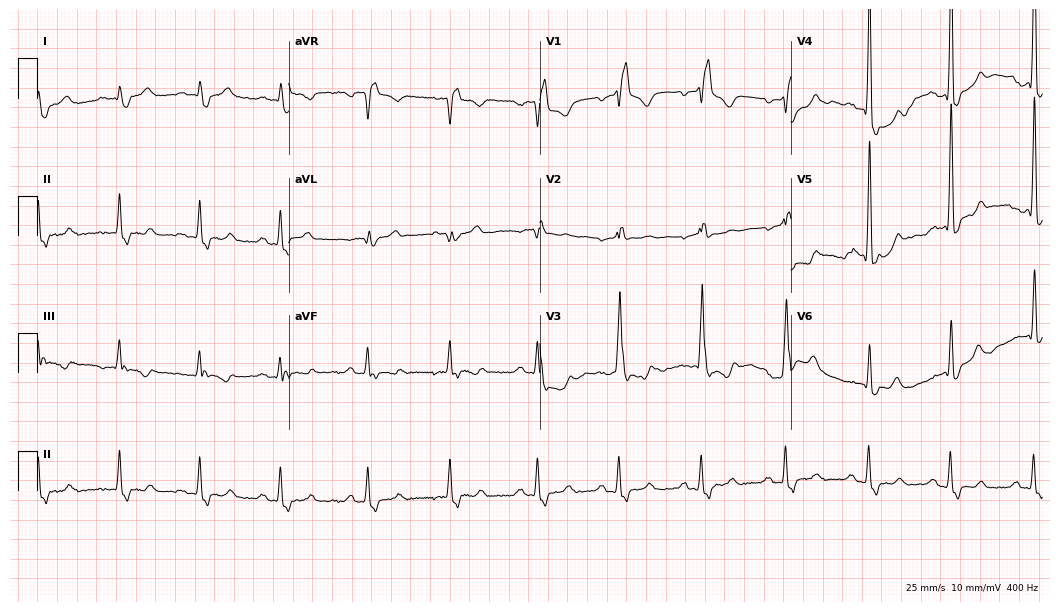
12-lead ECG from an 82-year-old male. Shows right bundle branch block (RBBB).